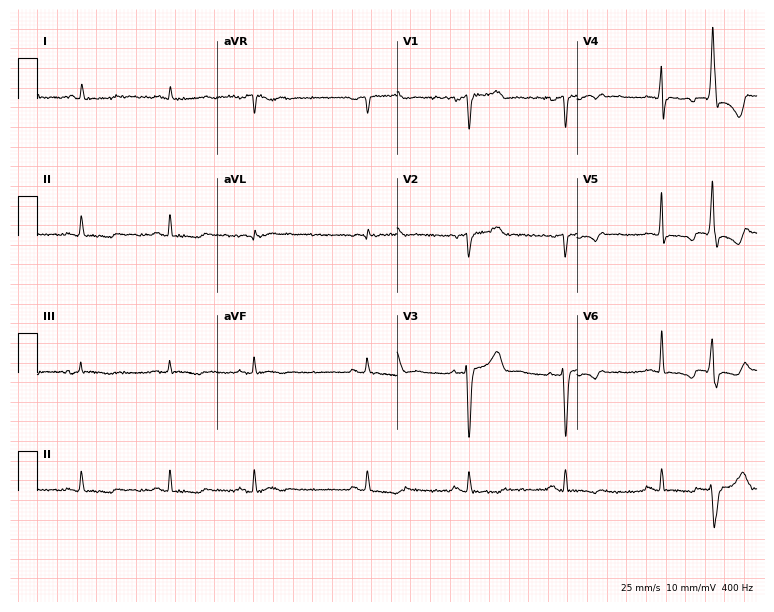
Standard 12-lead ECG recorded from a 50-year-old woman (7.3-second recording at 400 Hz). None of these six findings is recorded: first-degree AV block, right bundle branch block, left bundle branch block, sinus bradycardia, atrial fibrillation, sinus tachycardia.